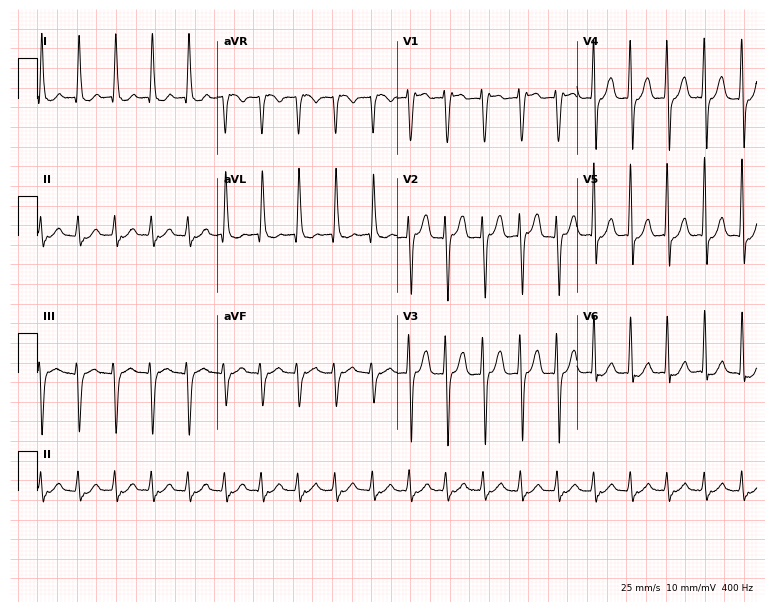
Standard 12-lead ECG recorded from an 80-year-old male. None of these six findings is recorded: first-degree AV block, right bundle branch block, left bundle branch block, sinus bradycardia, atrial fibrillation, sinus tachycardia.